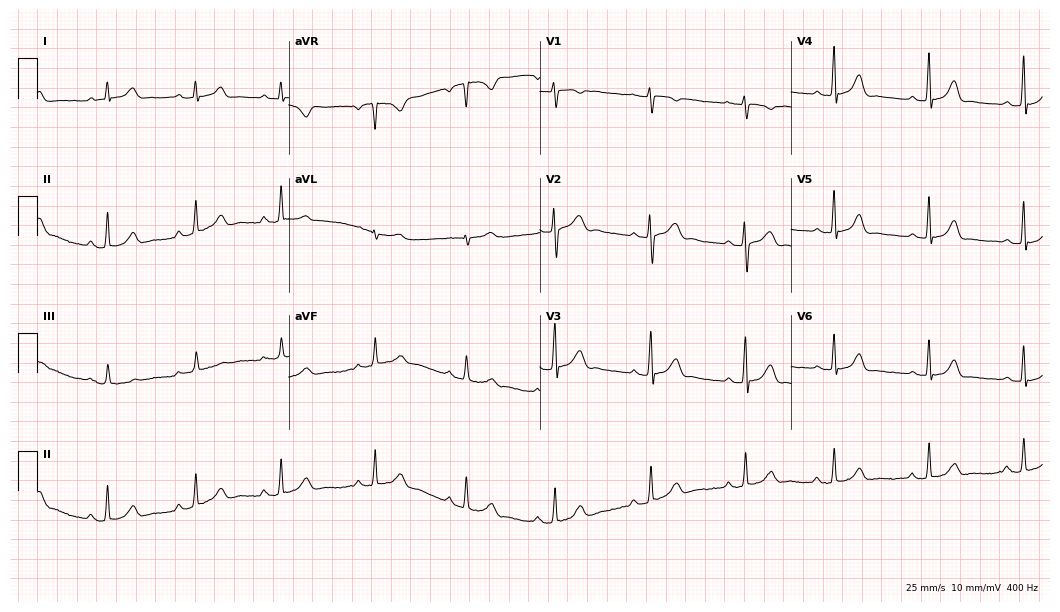
12-lead ECG from a female patient, 19 years old. Recorded interpretation: within normal limits.